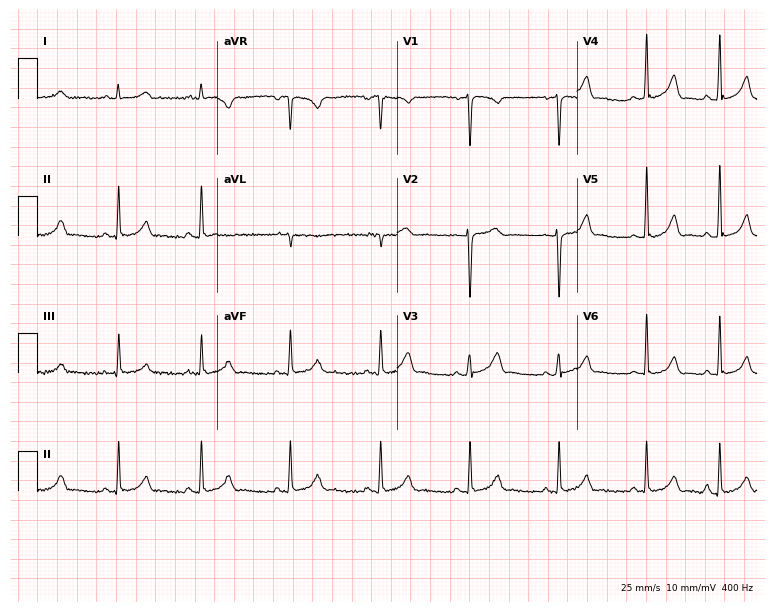
12-lead ECG (7.3-second recording at 400 Hz) from a 19-year-old woman. Labelled as a normal ECG.